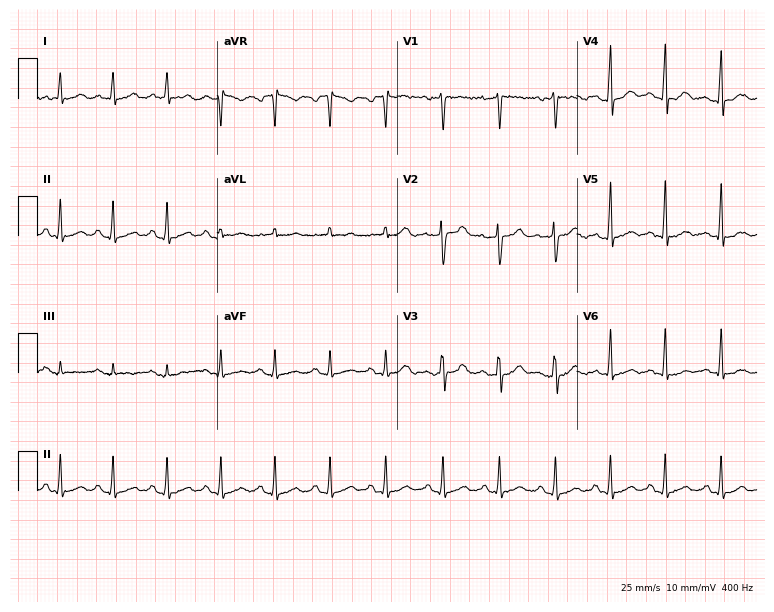
ECG — a female patient, 32 years old. Findings include sinus tachycardia (a sinus rate of 100 beats per minute or more).